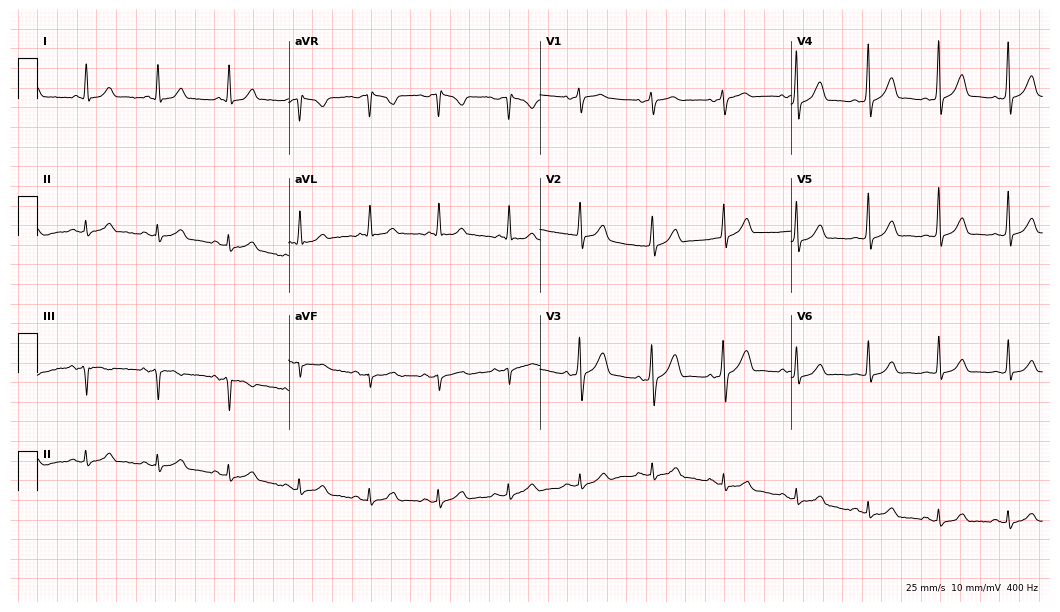
ECG (10.2-second recording at 400 Hz) — a male, 62 years old. Labelled as a normal ECG.